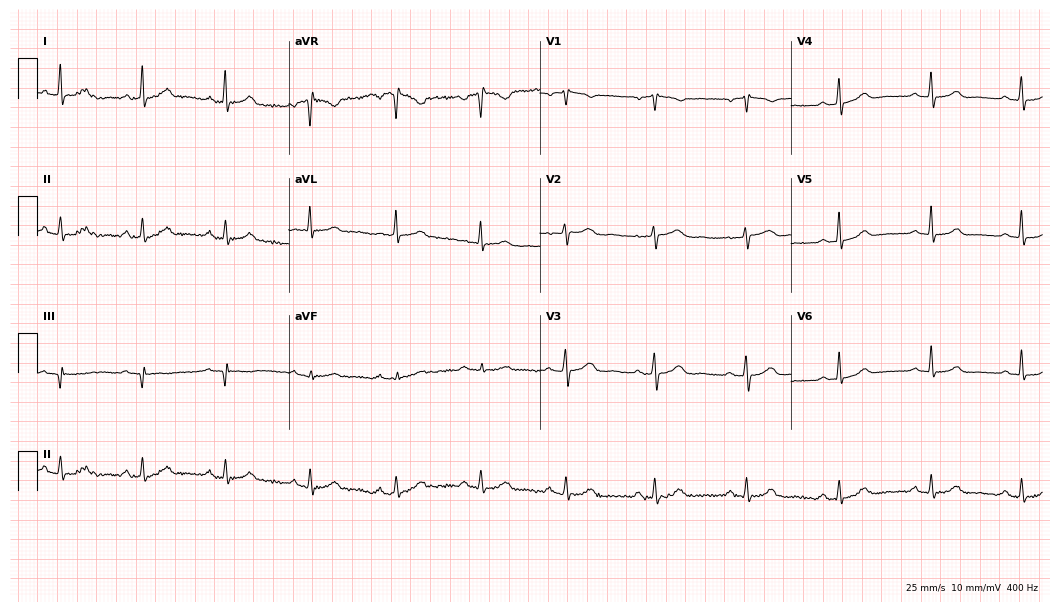
Resting 12-lead electrocardiogram. Patient: a female, 54 years old. None of these six findings is recorded: first-degree AV block, right bundle branch block, left bundle branch block, sinus bradycardia, atrial fibrillation, sinus tachycardia.